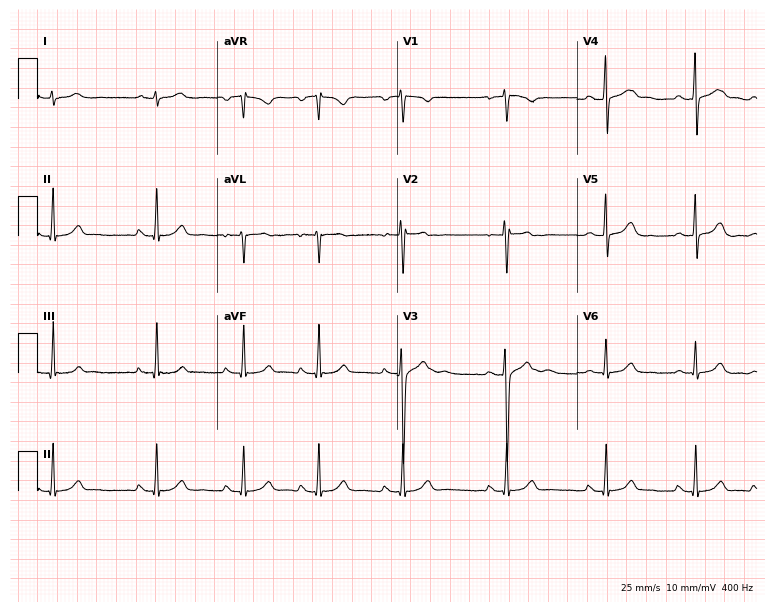
12-lead ECG from a woman, 20 years old. Labelled as a normal ECG.